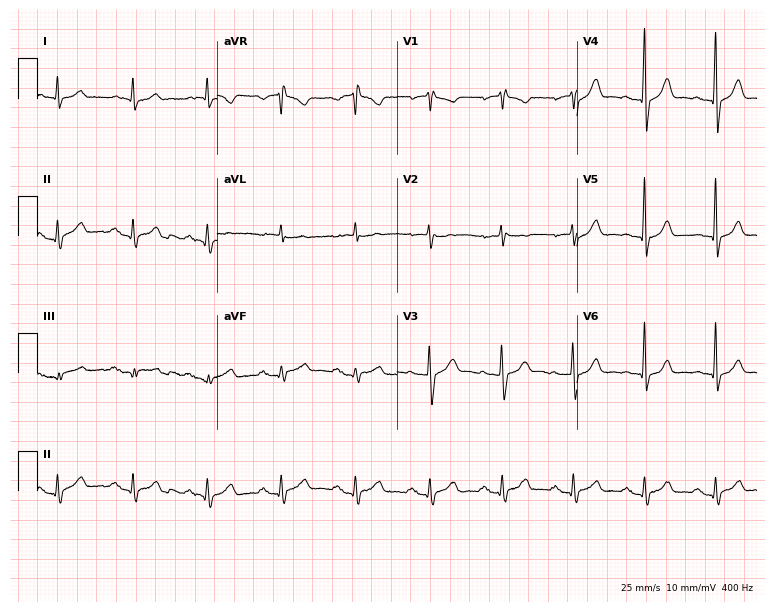
12-lead ECG (7.3-second recording at 400 Hz) from a male patient, 72 years old. Labelled as a normal ECG.